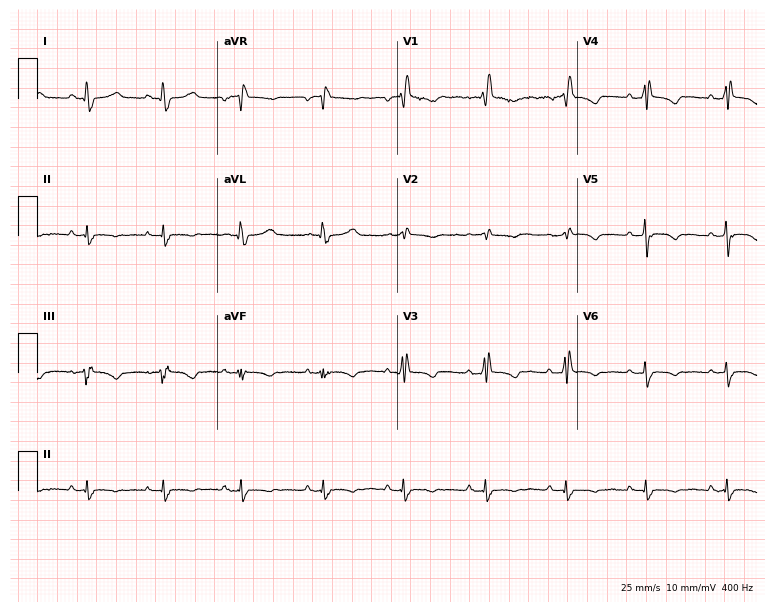
Electrocardiogram, a woman, 50 years old. Interpretation includes right bundle branch block.